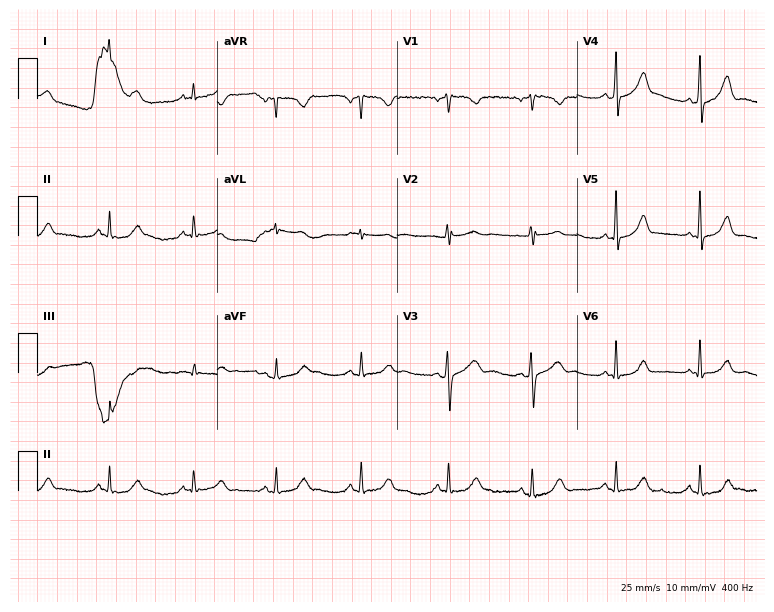
ECG (7.3-second recording at 400 Hz) — a 22-year-old female. Labelled as a normal ECG.